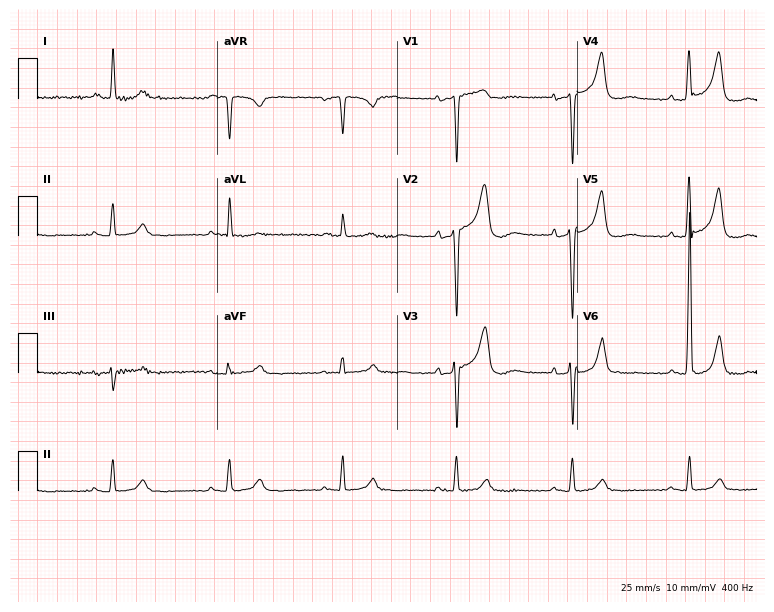
Electrocardiogram (7.3-second recording at 400 Hz), a 63-year-old man. Of the six screened findings (first-degree AV block, right bundle branch block, left bundle branch block, sinus bradycardia, atrial fibrillation, sinus tachycardia), none is recorded.